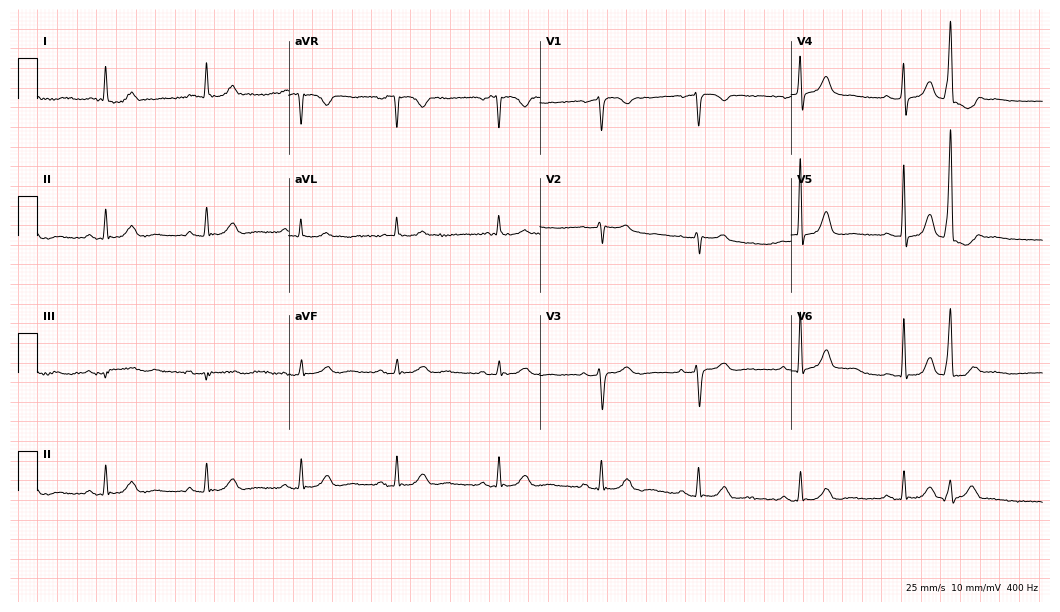
12-lead ECG from a 77-year-old woman. No first-degree AV block, right bundle branch block, left bundle branch block, sinus bradycardia, atrial fibrillation or sinus tachycardia recorded for this tracing. Other findings, if any, are not listed.